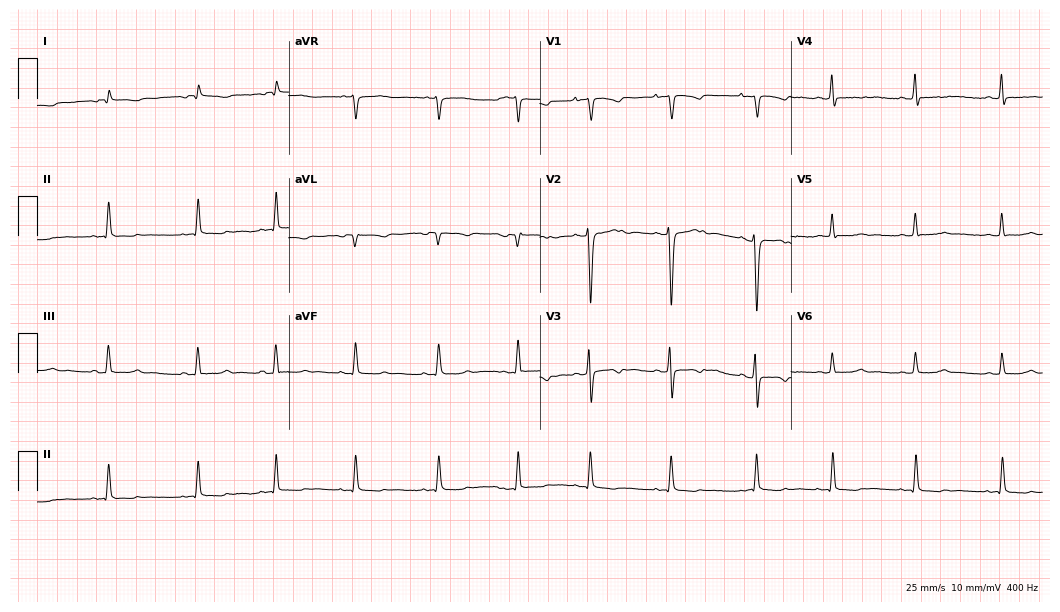
Resting 12-lead electrocardiogram (10.2-second recording at 400 Hz). Patient: a 17-year-old female. None of these six findings is recorded: first-degree AV block, right bundle branch block, left bundle branch block, sinus bradycardia, atrial fibrillation, sinus tachycardia.